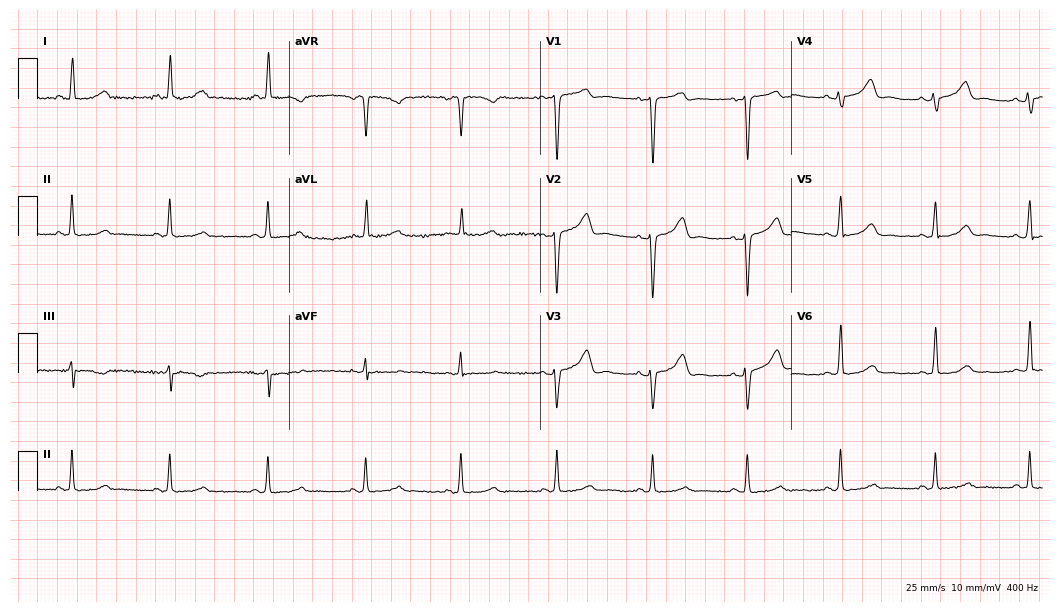
12-lead ECG from a woman, 53 years old (10.2-second recording at 400 Hz). No first-degree AV block, right bundle branch block (RBBB), left bundle branch block (LBBB), sinus bradycardia, atrial fibrillation (AF) or sinus tachycardia recorded for this tracing. Other findings, if any, are not listed.